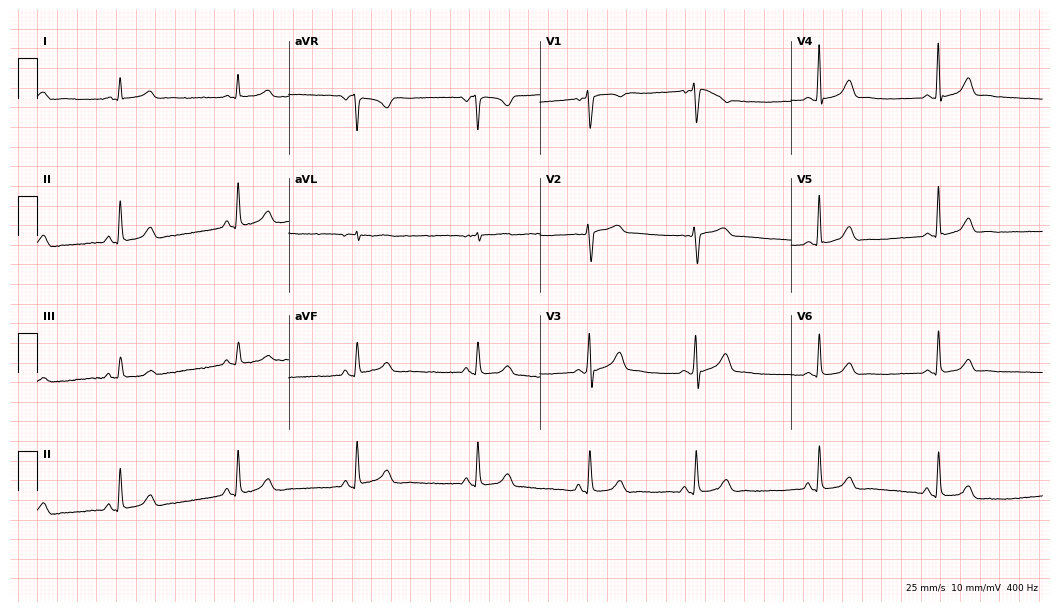
12-lead ECG (10.2-second recording at 400 Hz) from a 47-year-old woman. Screened for six findings — first-degree AV block, right bundle branch block, left bundle branch block, sinus bradycardia, atrial fibrillation, sinus tachycardia — none is recorded. Other findings, if any, are not listed.